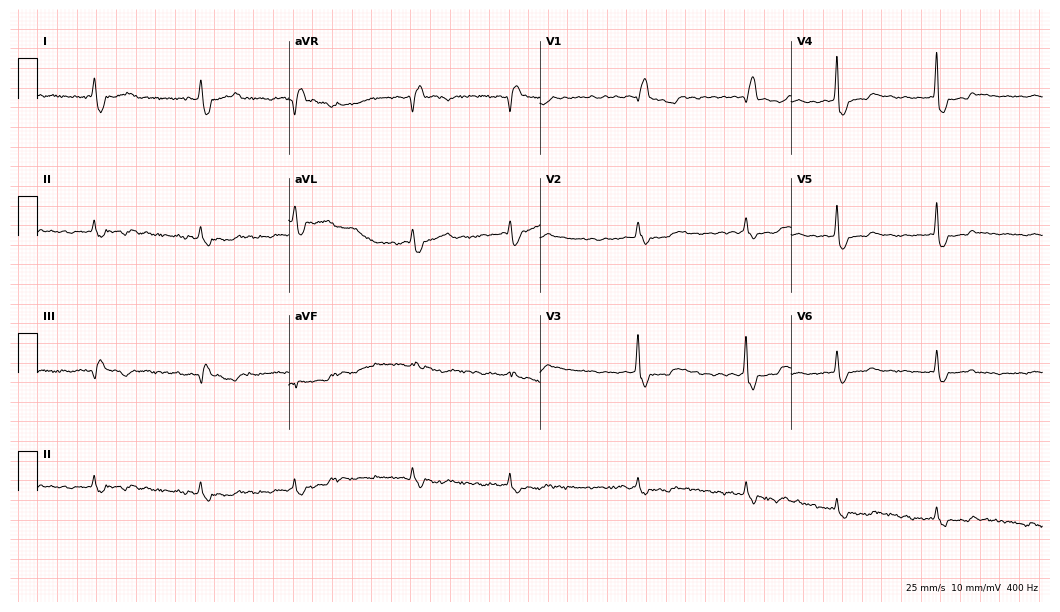
Electrocardiogram, an 83-year-old female. Interpretation includes right bundle branch block, atrial fibrillation.